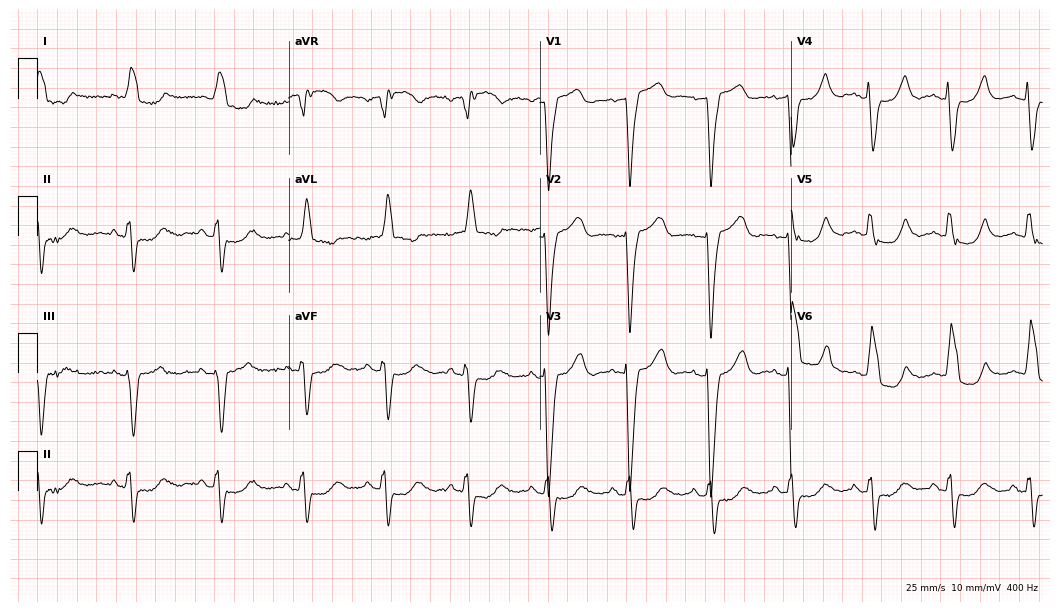
Standard 12-lead ECG recorded from a woman, 64 years old (10.2-second recording at 400 Hz). None of these six findings is recorded: first-degree AV block, right bundle branch block (RBBB), left bundle branch block (LBBB), sinus bradycardia, atrial fibrillation (AF), sinus tachycardia. Only these six findings were labelled.